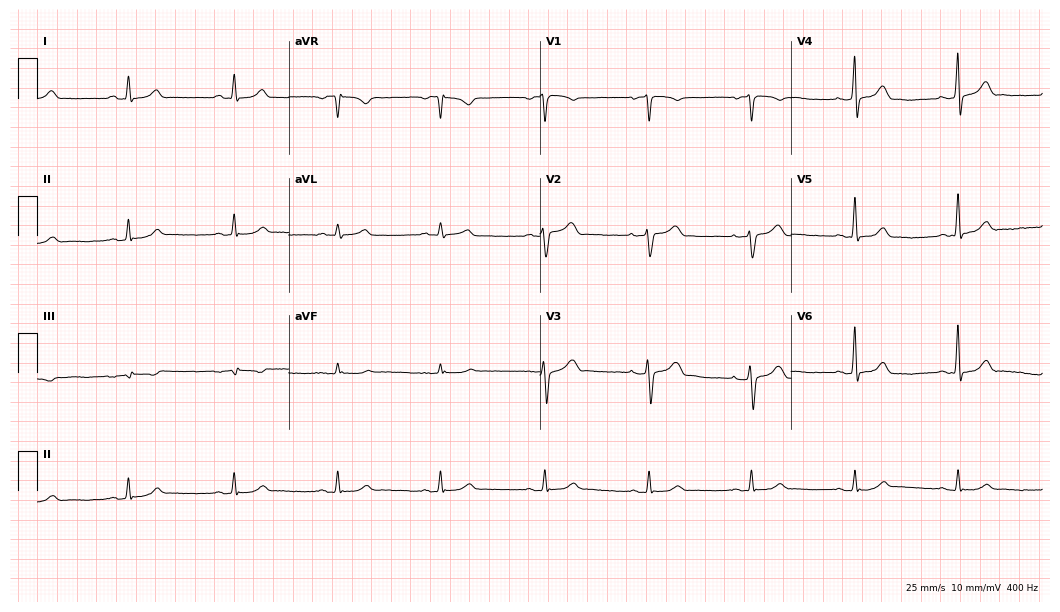
12-lead ECG from a male patient, 65 years old. Labelled as a normal ECG.